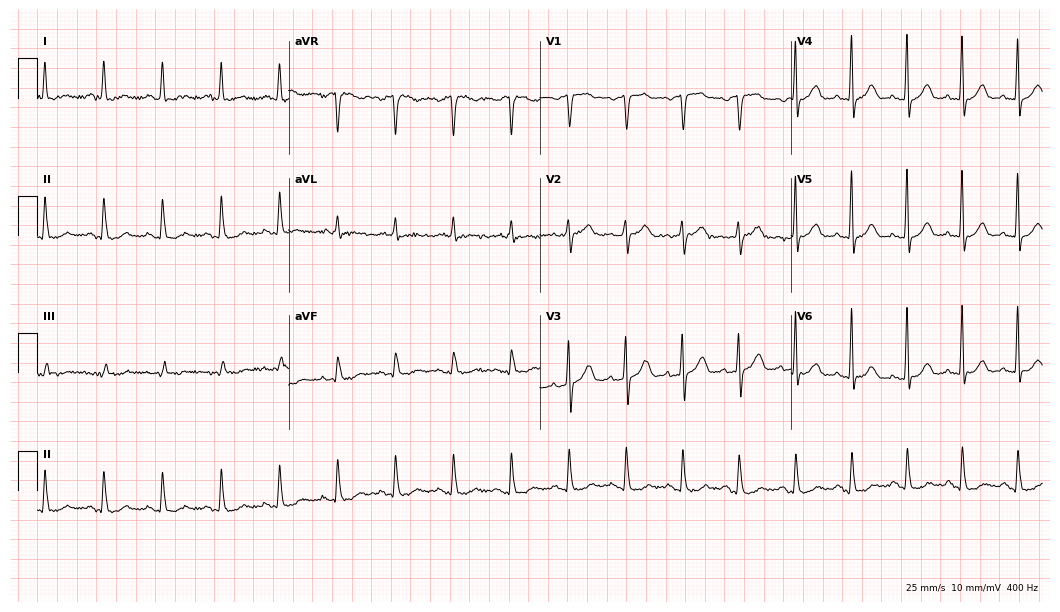
Standard 12-lead ECG recorded from a female, 70 years old (10.2-second recording at 400 Hz). The tracing shows sinus tachycardia (a sinus rate of 100 beats per minute or more).